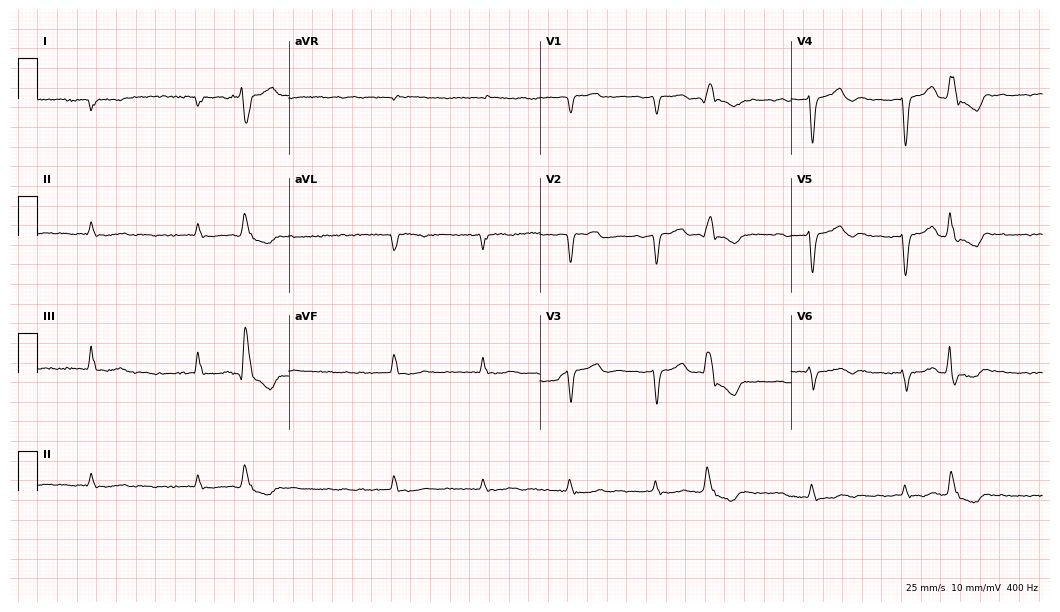
12-lead ECG (10.2-second recording at 400 Hz) from a 77-year-old woman. Findings include atrial fibrillation.